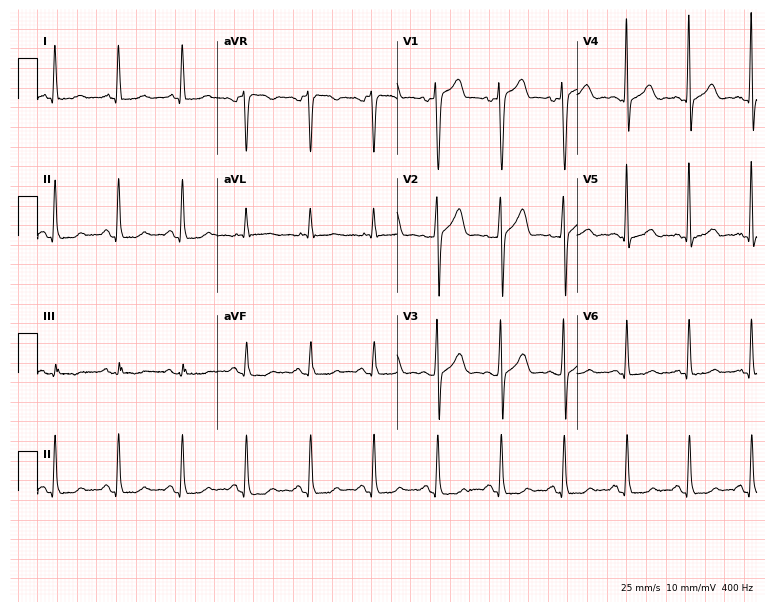
12-lead ECG from a male patient, 61 years old. Screened for six findings — first-degree AV block, right bundle branch block, left bundle branch block, sinus bradycardia, atrial fibrillation, sinus tachycardia — none is recorded. Findings outside these six are not listed.